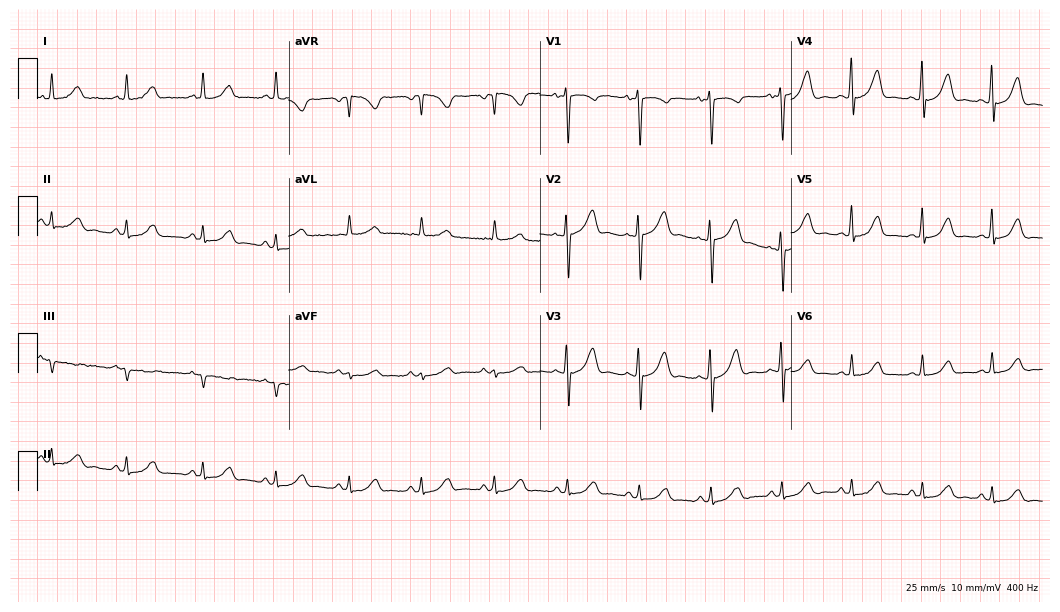
12-lead ECG from a 57-year-old female patient. Recorded interpretation: within normal limits.